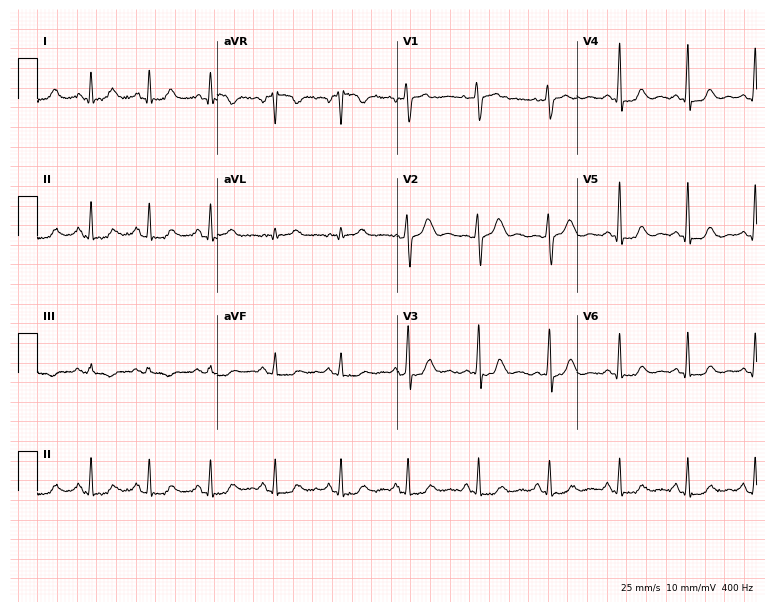
Resting 12-lead electrocardiogram. Patient: a 51-year-old woman. None of these six findings is recorded: first-degree AV block, right bundle branch block (RBBB), left bundle branch block (LBBB), sinus bradycardia, atrial fibrillation (AF), sinus tachycardia.